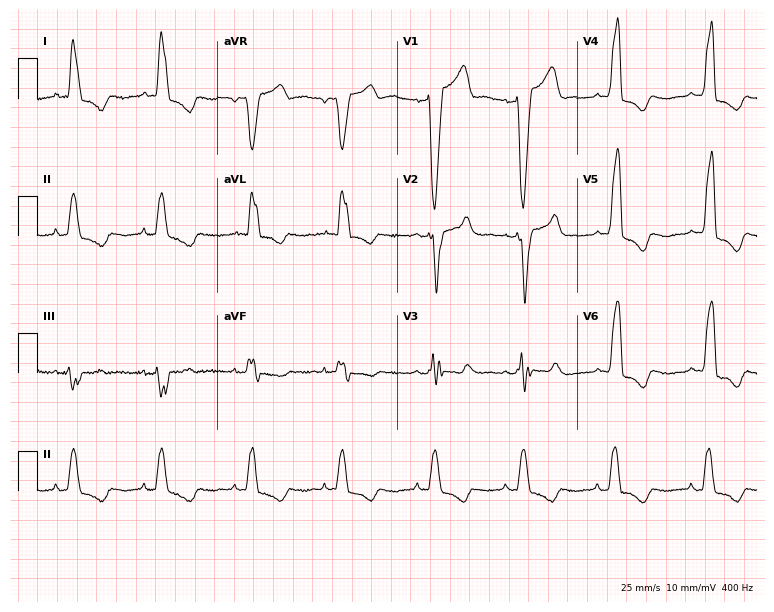
Resting 12-lead electrocardiogram. Patient: a woman, 78 years old. The tracing shows left bundle branch block (LBBB).